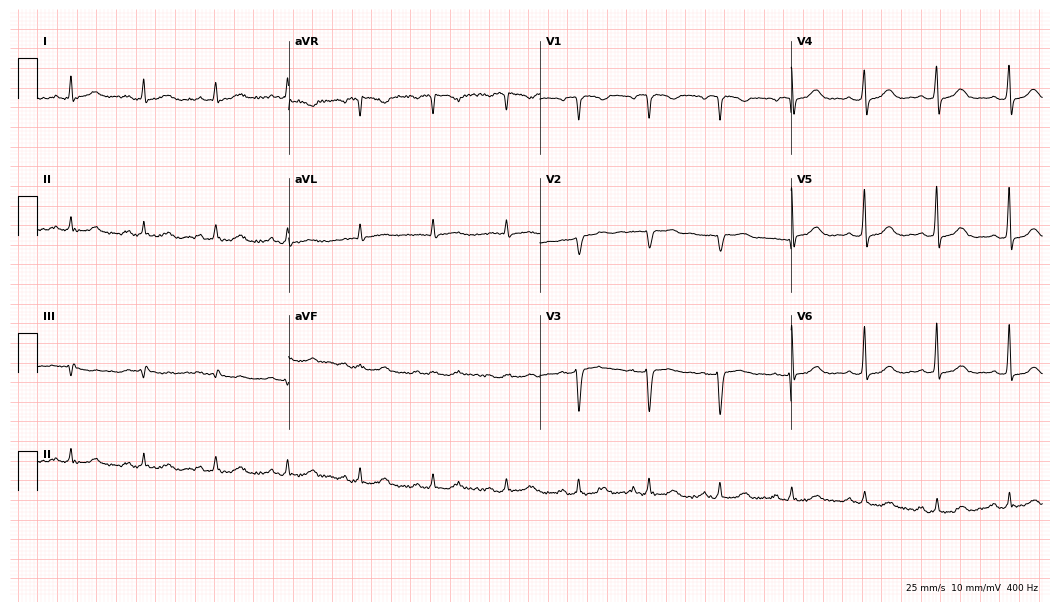
12-lead ECG (10.2-second recording at 400 Hz) from a female, 61 years old. Screened for six findings — first-degree AV block, right bundle branch block, left bundle branch block, sinus bradycardia, atrial fibrillation, sinus tachycardia — none is recorded.